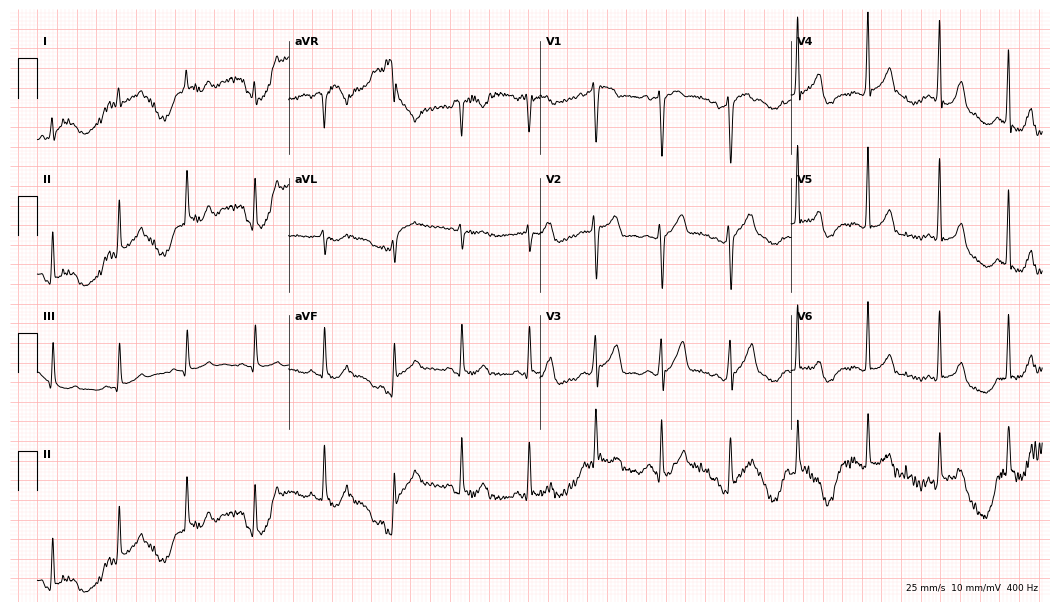
Resting 12-lead electrocardiogram. Patient: a 32-year-old male. None of these six findings is recorded: first-degree AV block, right bundle branch block, left bundle branch block, sinus bradycardia, atrial fibrillation, sinus tachycardia.